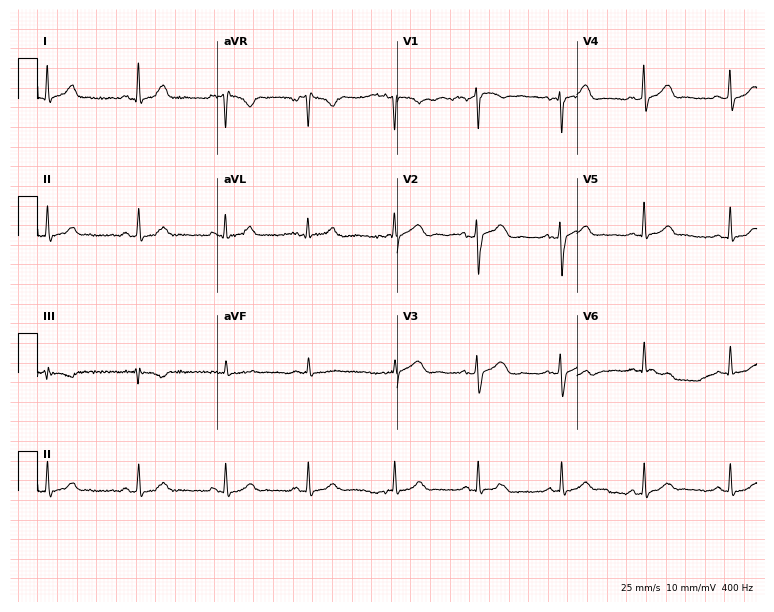
Electrocardiogram, a 36-year-old woman. Overall reading on record: normal ECG.